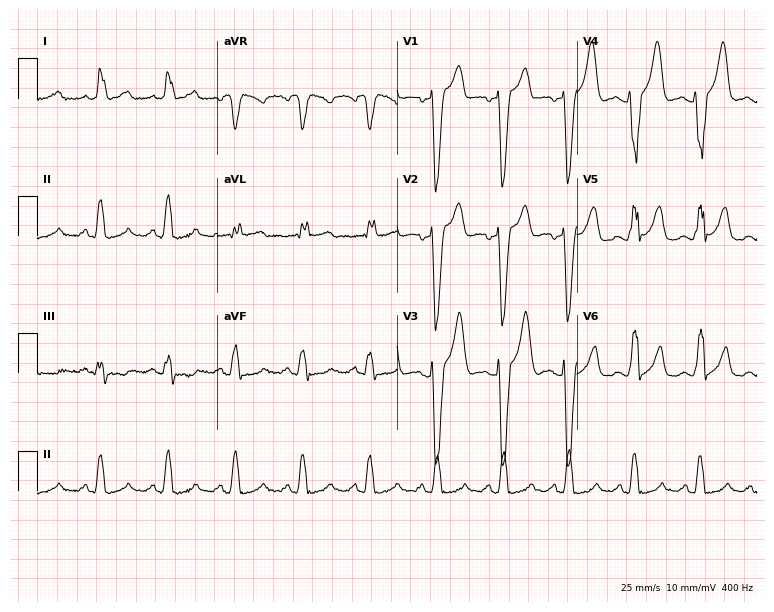
ECG (7.3-second recording at 400 Hz) — a 68-year-old woman. Findings include left bundle branch block (LBBB).